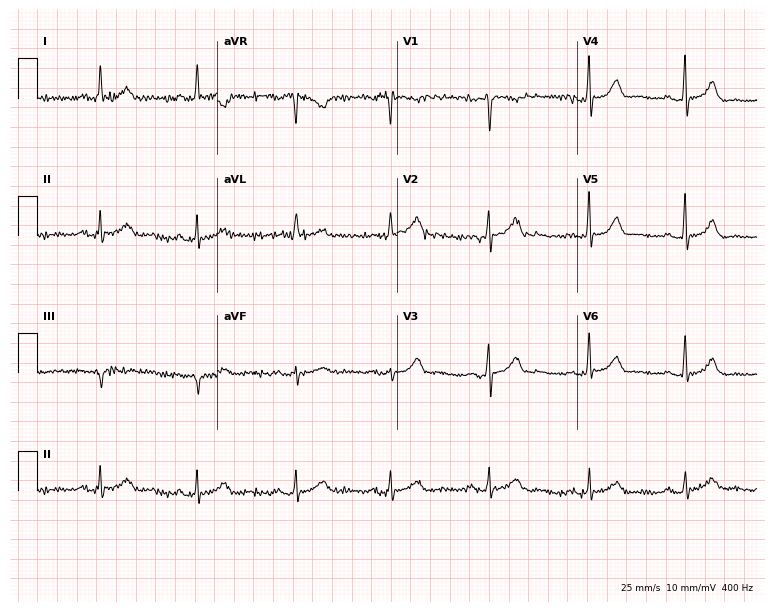
Electrocardiogram, a 60-year-old woman. Overall reading on record: normal ECG.